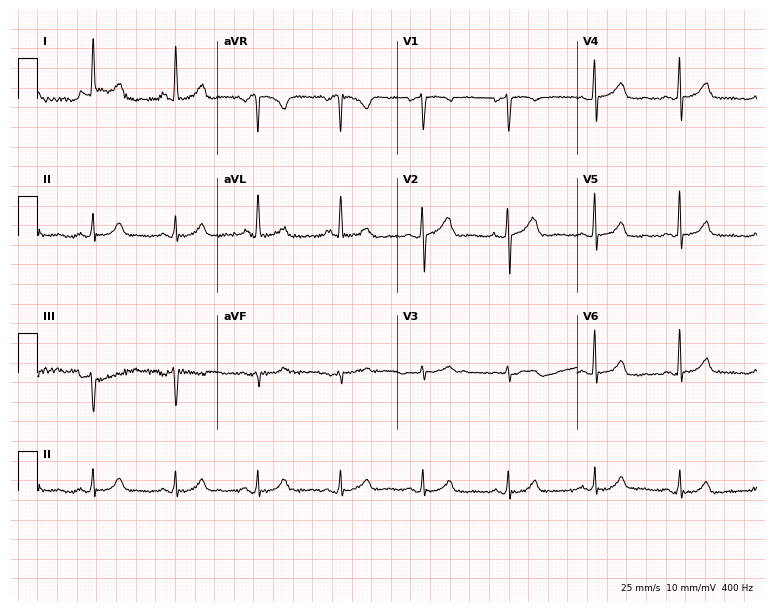
Resting 12-lead electrocardiogram. Patient: a female, 38 years old. Read as a normal ECG.